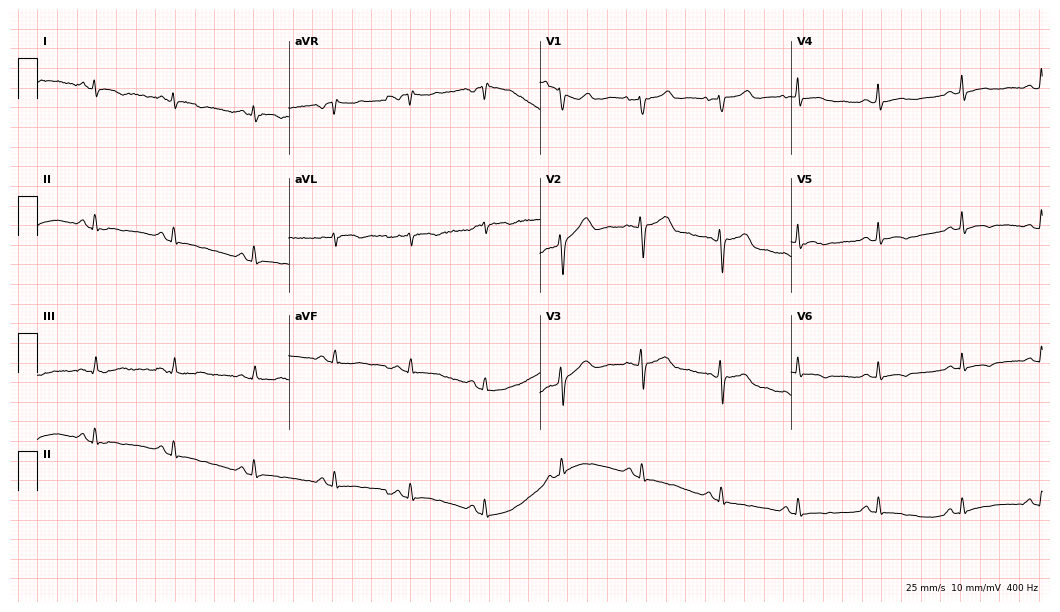
12-lead ECG from a 46-year-old female patient. Screened for six findings — first-degree AV block, right bundle branch block, left bundle branch block, sinus bradycardia, atrial fibrillation, sinus tachycardia — none is recorded. Other findings, if any, are not listed.